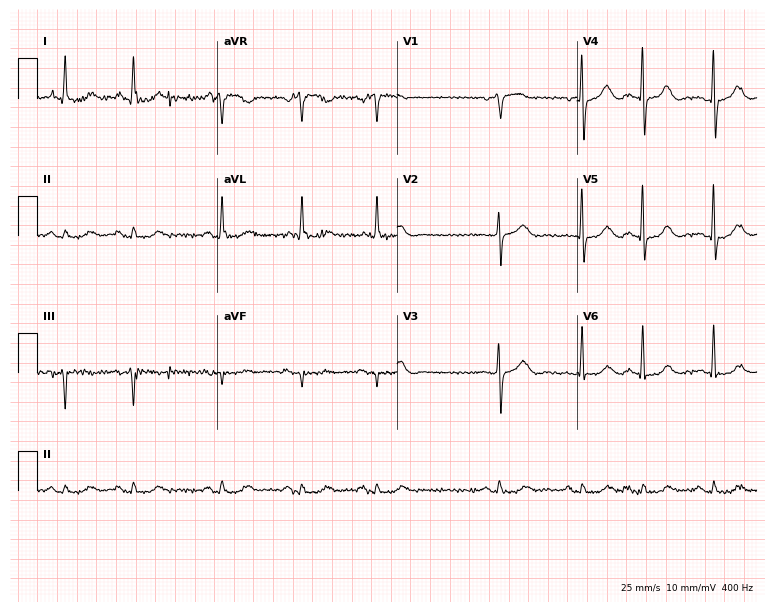
ECG — a 75-year-old female patient. Screened for six findings — first-degree AV block, right bundle branch block, left bundle branch block, sinus bradycardia, atrial fibrillation, sinus tachycardia — none is recorded. Only these six findings were labelled.